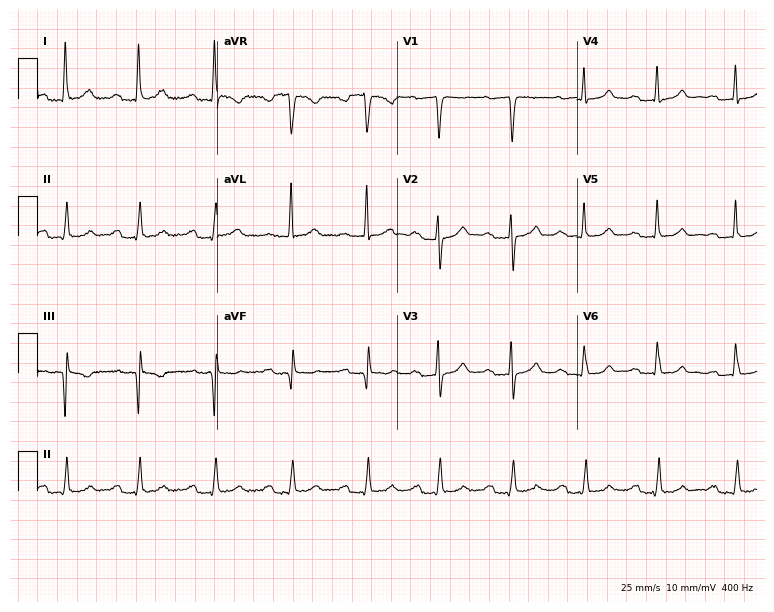
12-lead ECG (7.3-second recording at 400 Hz) from a 41-year-old woman. Labelled as a normal ECG.